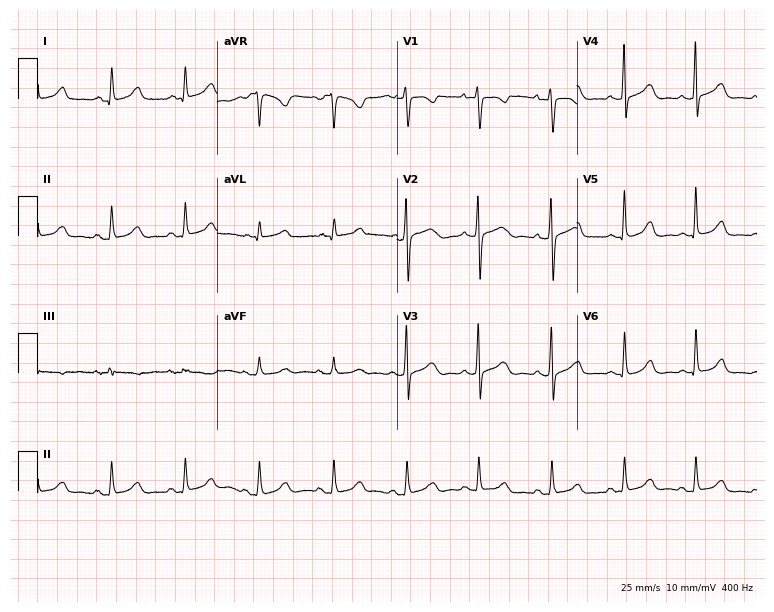
Electrocardiogram, a female patient, 36 years old. Overall reading on record: normal ECG.